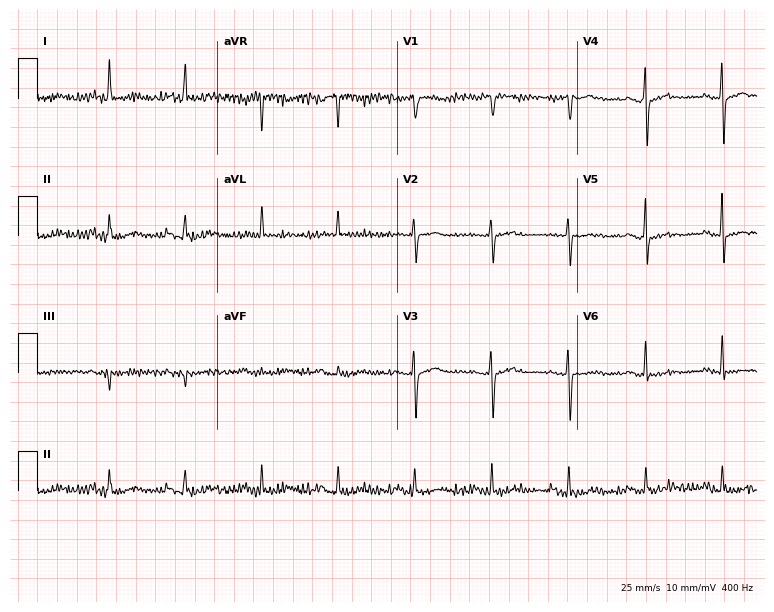
ECG — a woman, 67 years old. Screened for six findings — first-degree AV block, right bundle branch block (RBBB), left bundle branch block (LBBB), sinus bradycardia, atrial fibrillation (AF), sinus tachycardia — none is recorded. Only these six findings were labelled.